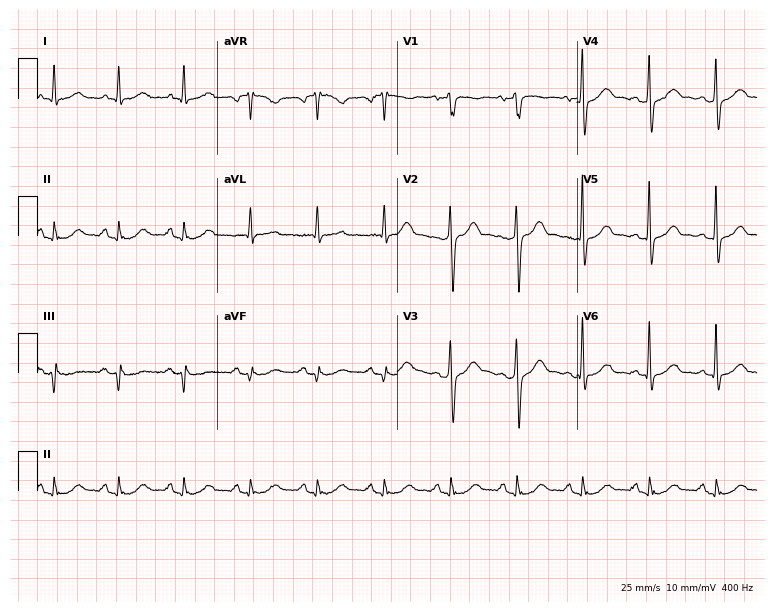
Standard 12-lead ECG recorded from a 62-year-old man (7.3-second recording at 400 Hz). None of these six findings is recorded: first-degree AV block, right bundle branch block, left bundle branch block, sinus bradycardia, atrial fibrillation, sinus tachycardia. Findings outside these six are not listed.